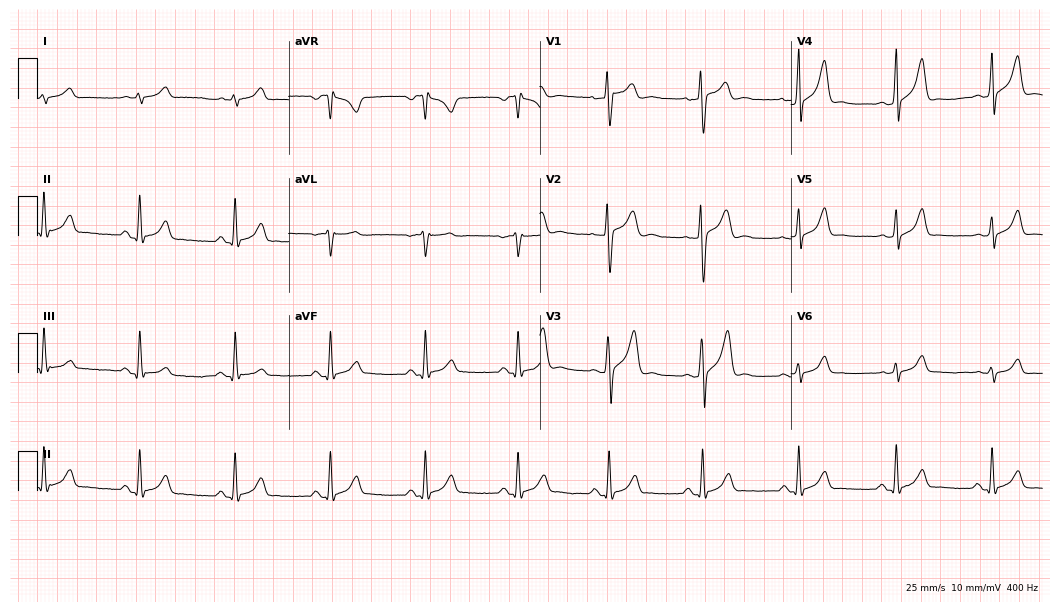
Standard 12-lead ECG recorded from a 31-year-old male (10.2-second recording at 400 Hz). None of these six findings is recorded: first-degree AV block, right bundle branch block, left bundle branch block, sinus bradycardia, atrial fibrillation, sinus tachycardia. Only these six findings were labelled.